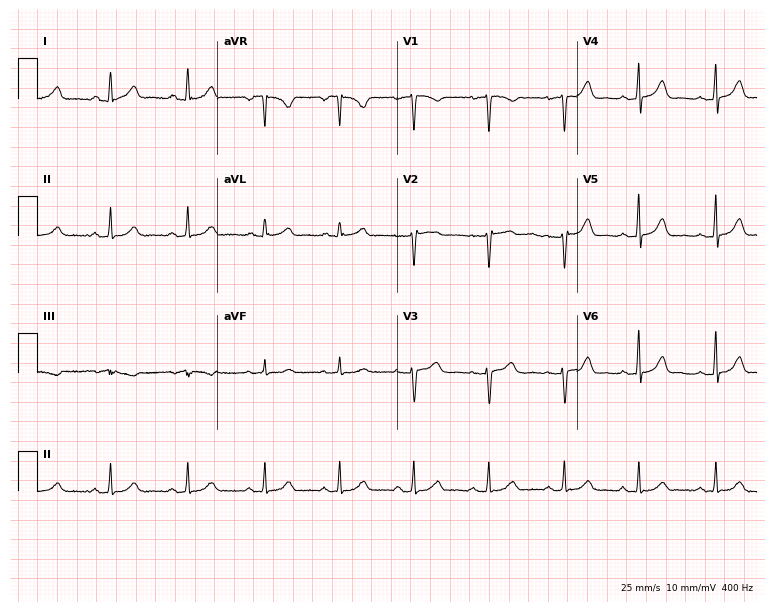
Standard 12-lead ECG recorded from a 31-year-old woman (7.3-second recording at 400 Hz). None of these six findings is recorded: first-degree AV block, right bundle branch block, left bundle branch block, sinus bradycardia, atrial fibrillation, sinus tachycardia. Findings outside these six are not listed.